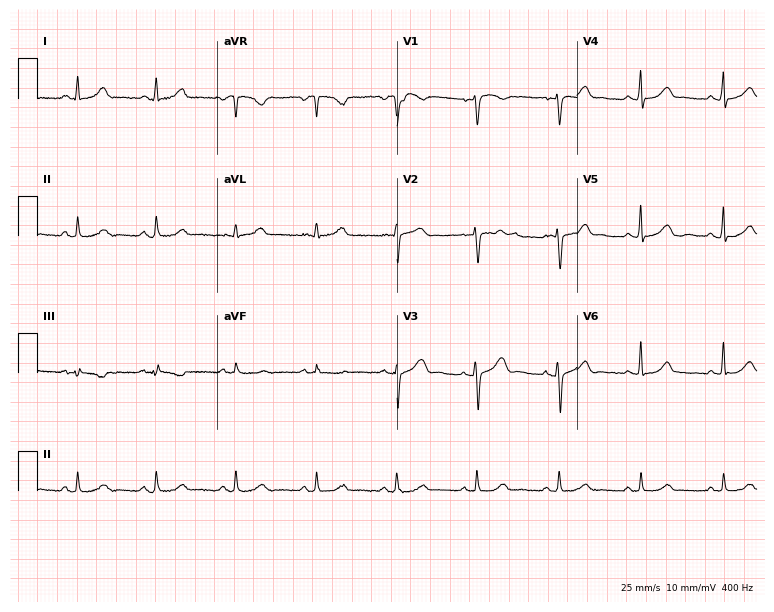
12-lead ECG from a woman, 49 years old. Labelled as a normal ECG.